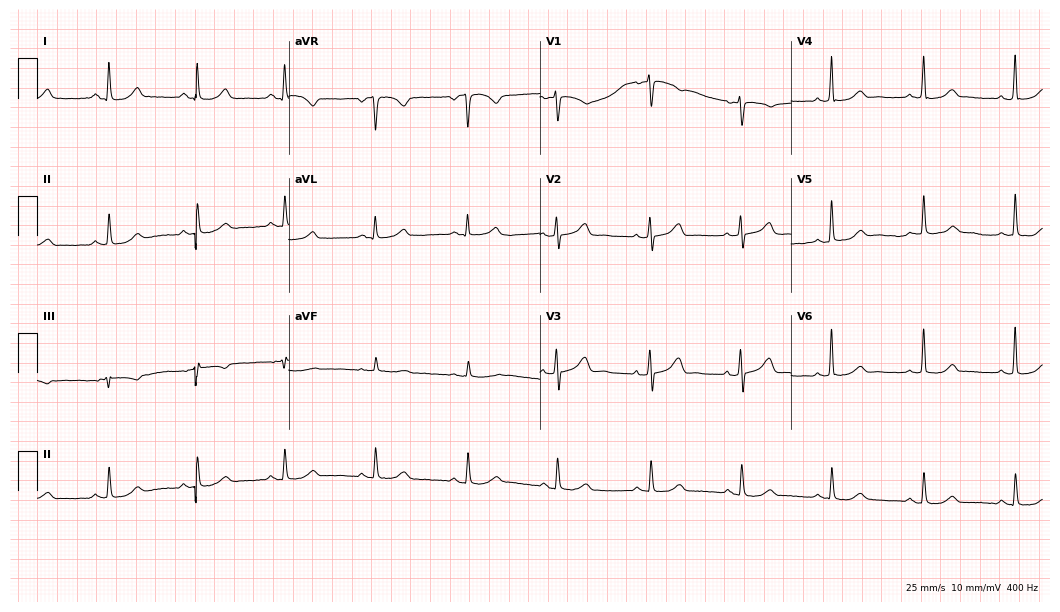
12-lead ECG from a 48-year-old female. Recorded interpretation: within normal limits.